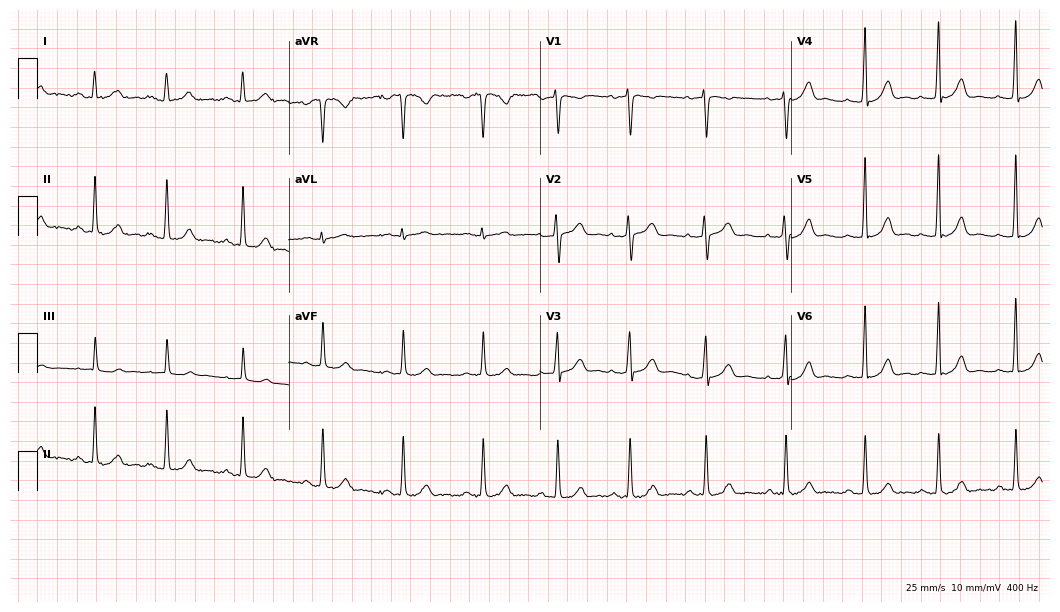
Resting 12-lead electrocardiogram. Patient: a woman, 18 years old. Read as a normal ECG.